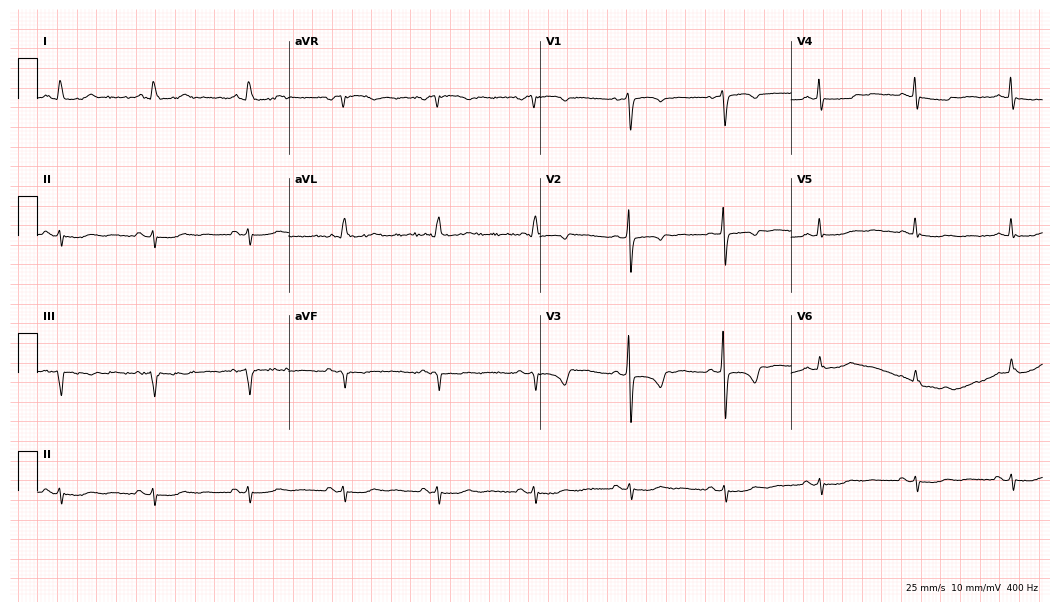
ECG (10.2-second recording at 400 Hz) — a 77-year-old female patient. Screened for six findings — first-degree AV block, right bundle branch block (RBBB), left bundle branch block (LBBB), sinus bradycardia, atrial fibrillation (AF), sinus tachycardia — none is recorded. Only these six findings were labelled.